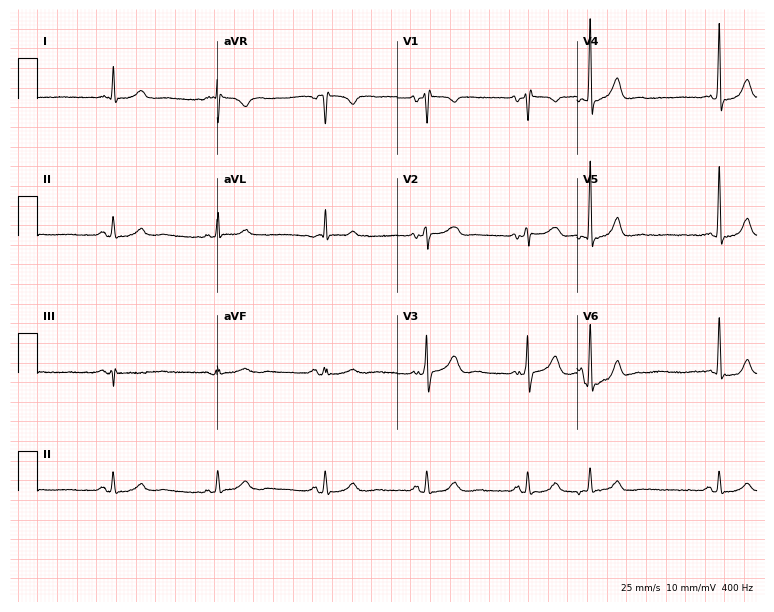
12-lead ECG from a 67-year-old male patient. Screened for six findings — first-degree AV block, right bundle branch block, left bundle branch block, sinus bradycardia, atrial fibrillation, sinus tachycardia — none is recorded.